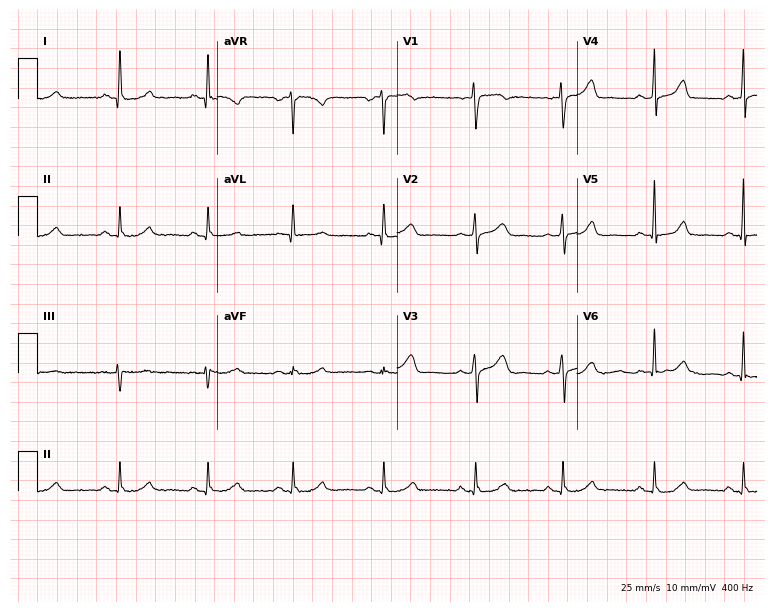
Standard 12-lead ECG recorded from a female patient, 55 years old (7.3-second recording at 400 Hz). Read as a normal ECG.